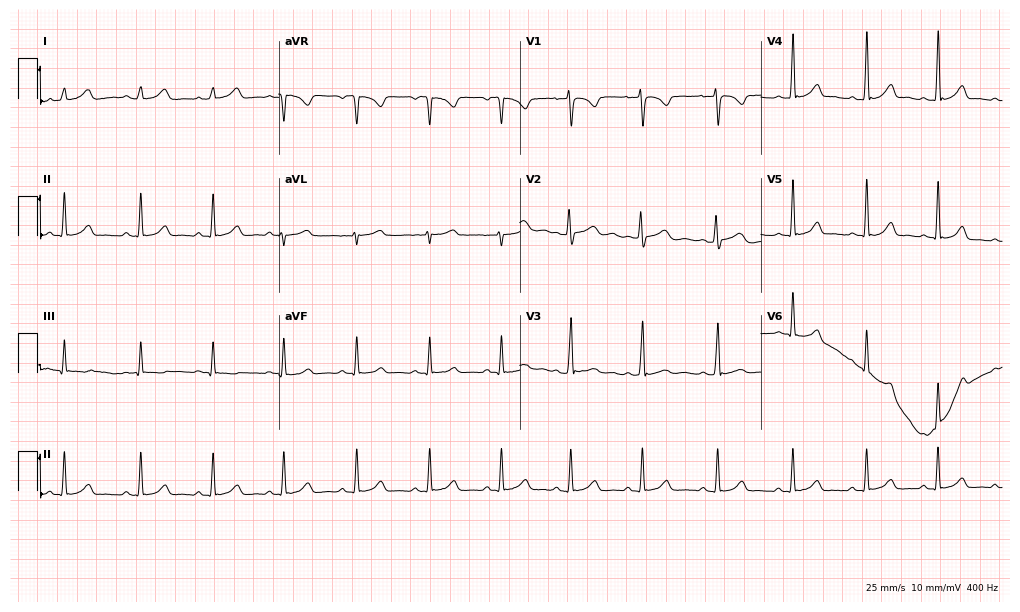
Resting 12-lead electrocardiogram. Patient: a 24-year-old female. Read as a normal ECG.